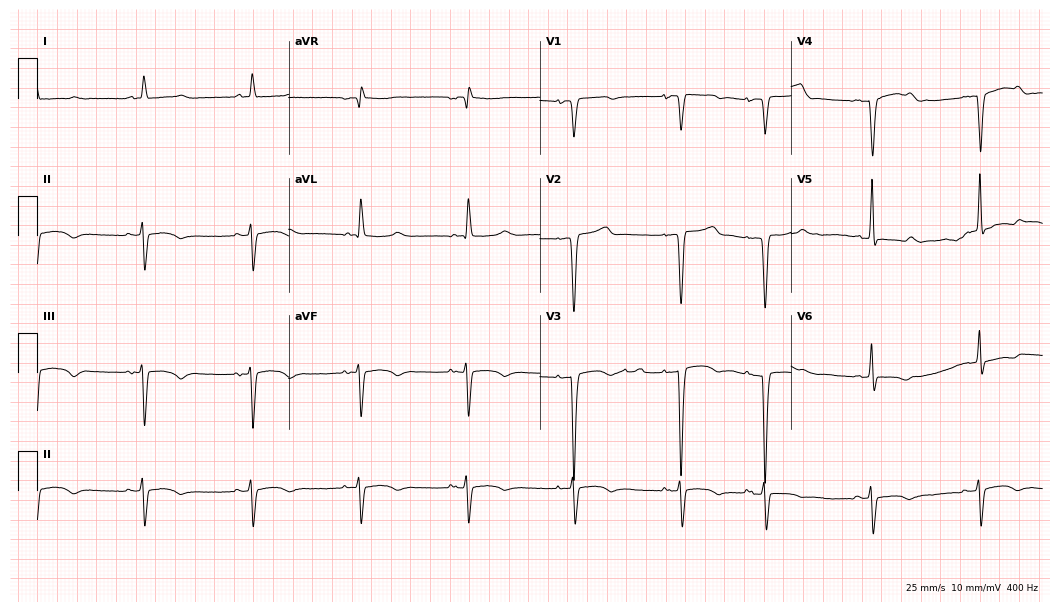
Resting 12-lead electrocardiogram (10.2-second recording at 400 Hz). Patient: an 83-year-old woman. None of these six findings is recorded: first-degree AV block, right bundle branch block (RBBB), left bundle branch block (LBBB), sinus bradycardia, atrial fibrillation (AF), sinus tachycardia.